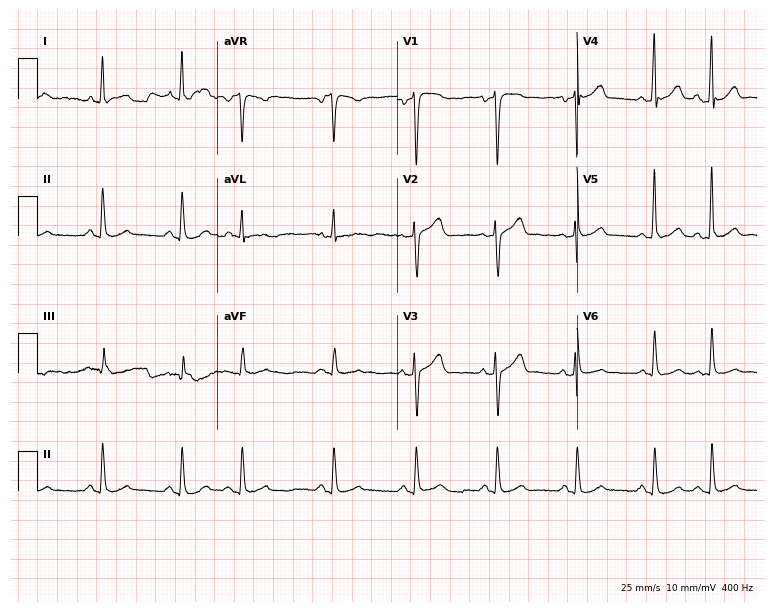
Standard 12-lead ECG recorded from a male patient, 64 years old (7.3-second recording at 400 Hz). None of these six findings is recorded: first-degree AV block, right bundle branch block, left bundle branch block, sinus bradycardia, atrial fibrillation, sinus tachycardia. Other findings, if any, are not listed.